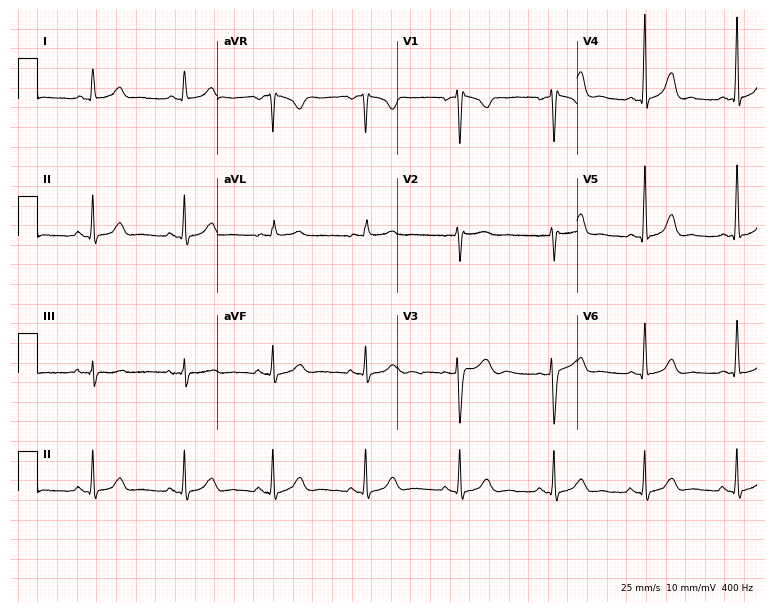
Resting 12-lead electrocardiogram. Patient: a 43-year-old female. Read as a normal ECG.